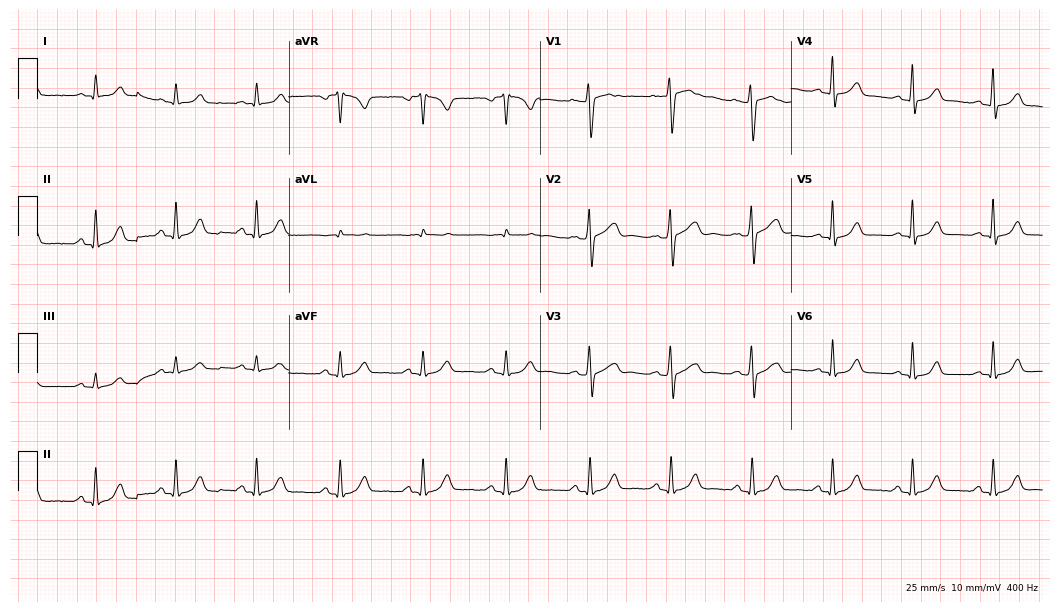
12-lead ECG from a 49-year-old woman (10.2-second recording at 400 Hz). No first-degree AV block, right bundle branch block, left bundle branch block, sinus bradycardia, atrial fibrillation or sinus tachycardia recorded for this tracing. Findings outside these six are not listed.